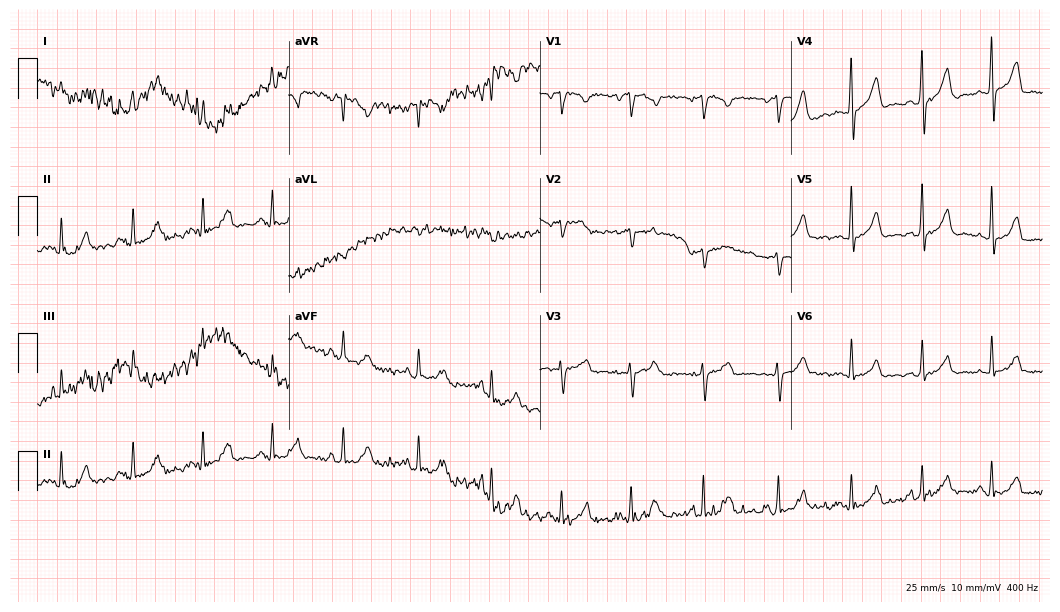
Standard 12-lead ECG recorded from a 44-year-old male patient. None of these six findings is recorded: first-degree AV block, right bundle branch block, left bundle branch block, sinus bradycardia, atrial fibrillation, sinus tachycardia.